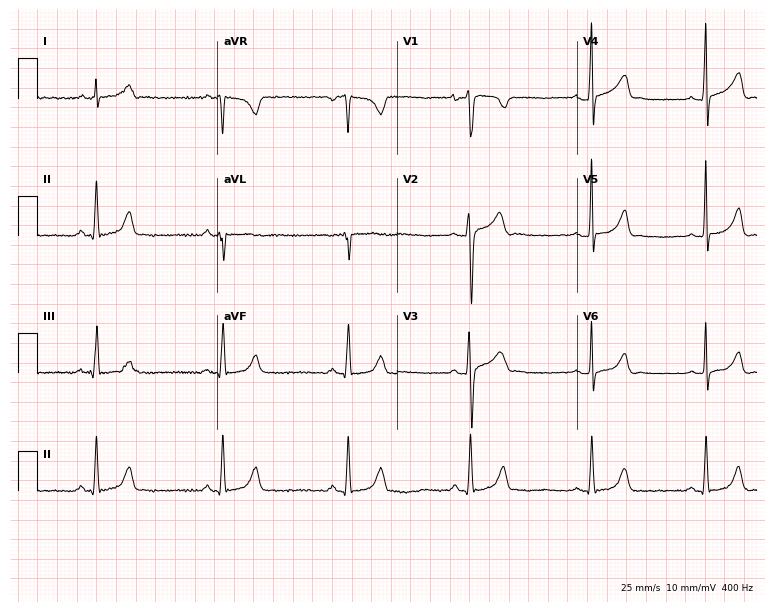
Standard 12-lead ECG recorded from a male, 25 years old (7.3-second recording at 400 Hz). Read as a normal ECG.